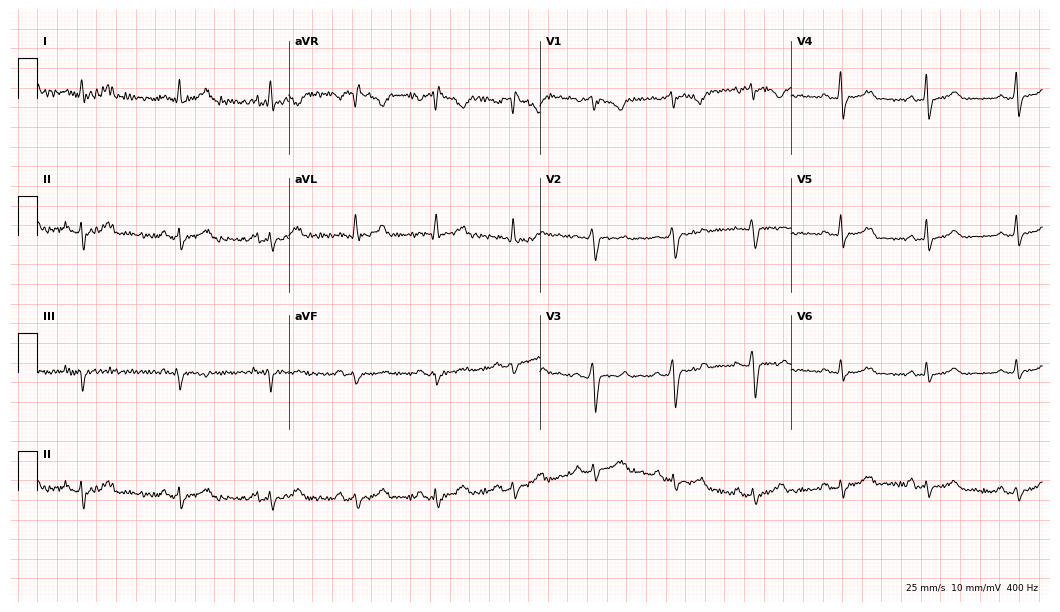
Standard 12-lead ECG recorded from a 26-year-old woman. None of these six findings is recorded: first-degree AV block, right bundle branch block, left bundle branch block, sinus bradycardia, atrial fibrillation, sinus tachycardia.